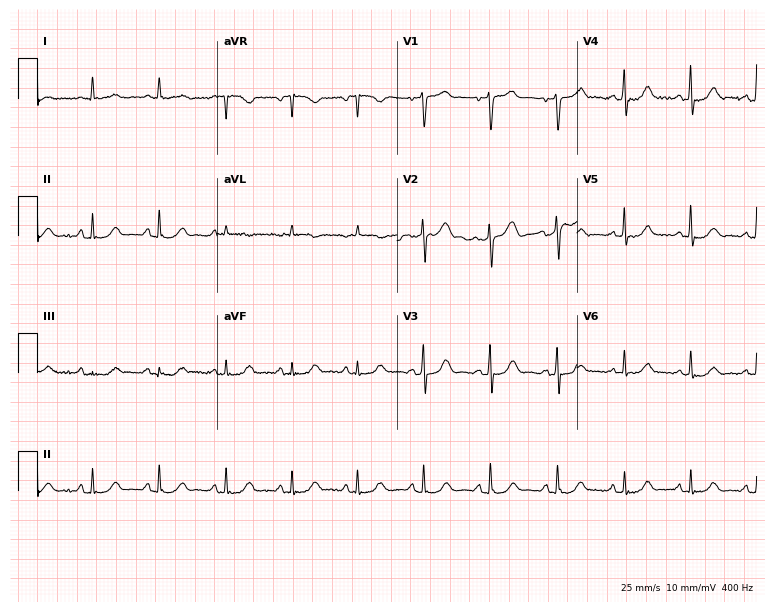
Electrocardiogram (7.3-second recording at 400 Hz), a 78-year-old male patient. Overall reading on record: normal ECG.